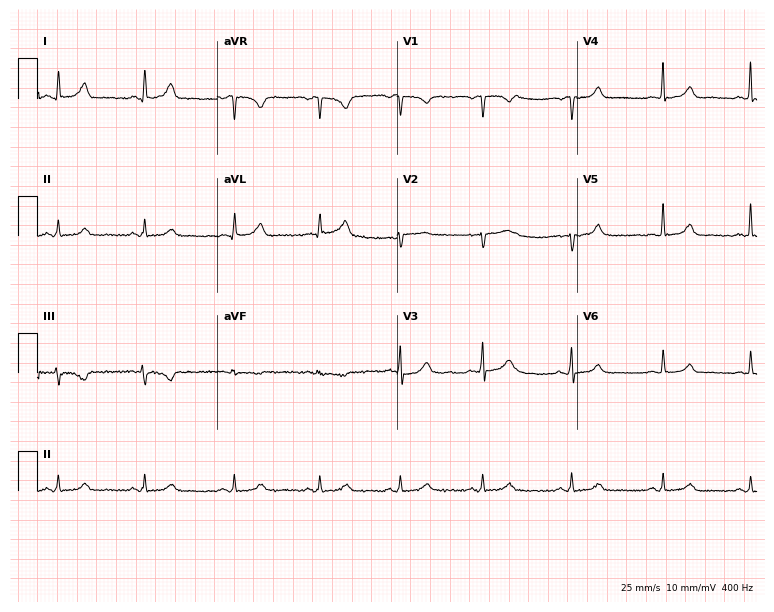
Standard 12-lead ECG recorded from a 47-year-old female. Read as a normal ECG.